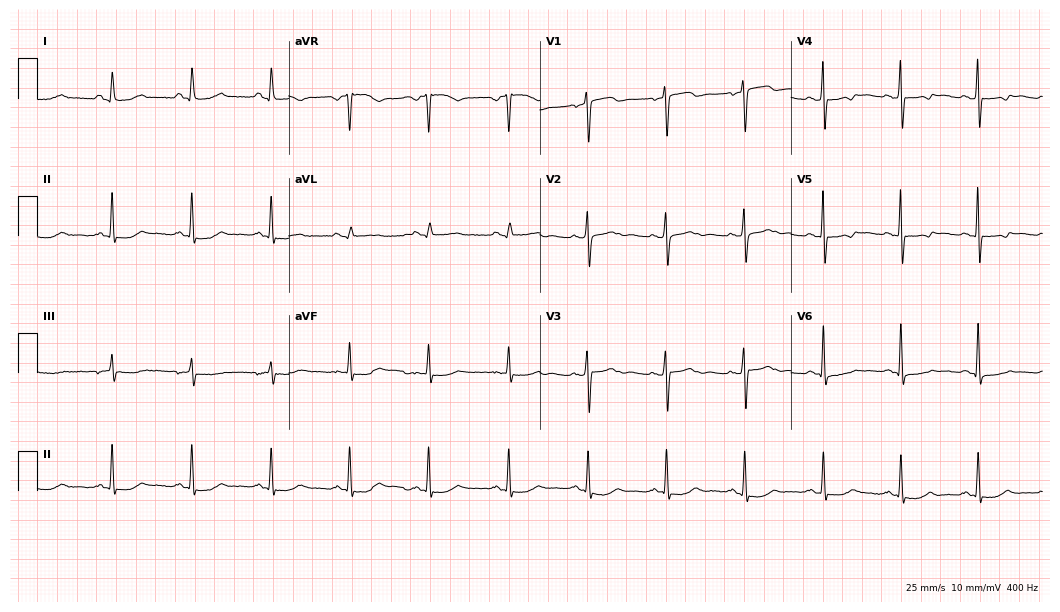
Electrocardiogram (10.2-second recording at 400 Hz), a 65-year-old woman. Of the six screened findings (first-degree AV block, right bundle branch block, left bundle branch block, sinus bradycardia, atrial fibrillation, sinus tachycardia), none is recorded. Findings outside these six are not listed.